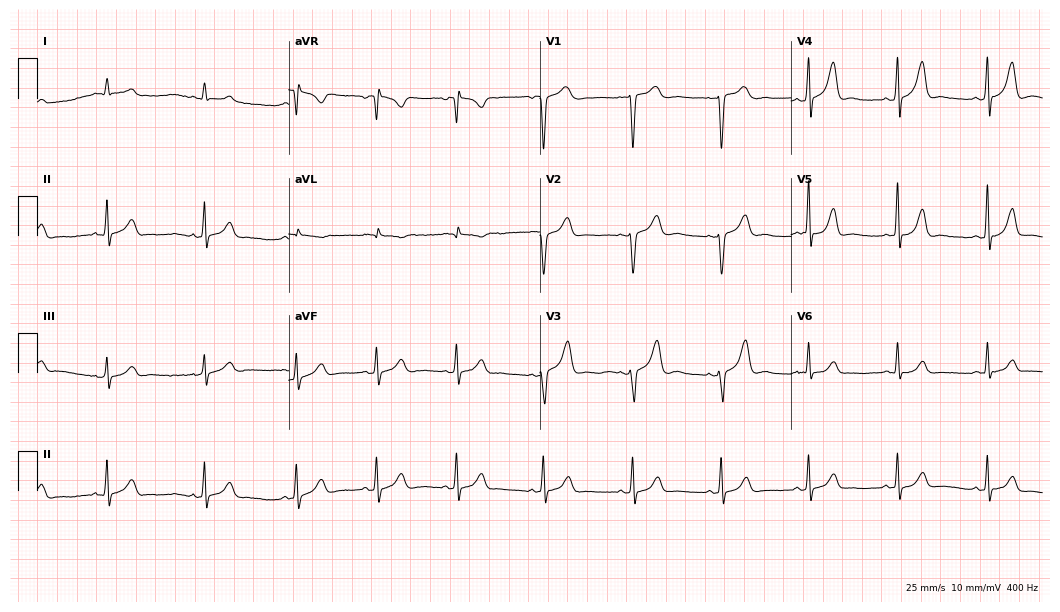
12-lead ECG from a woman, 27 years old. Labelled as a normal ECG.